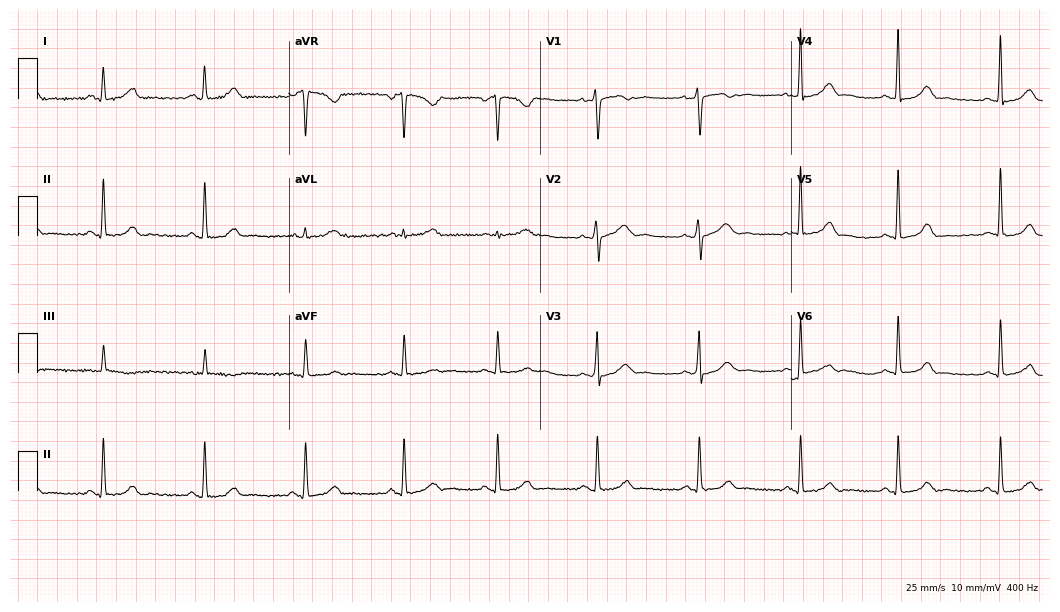
12-lead ECG from a female patient, 42 years old (10.2-second recording at 400 Hz). Recorded interpretation: within normal limits.